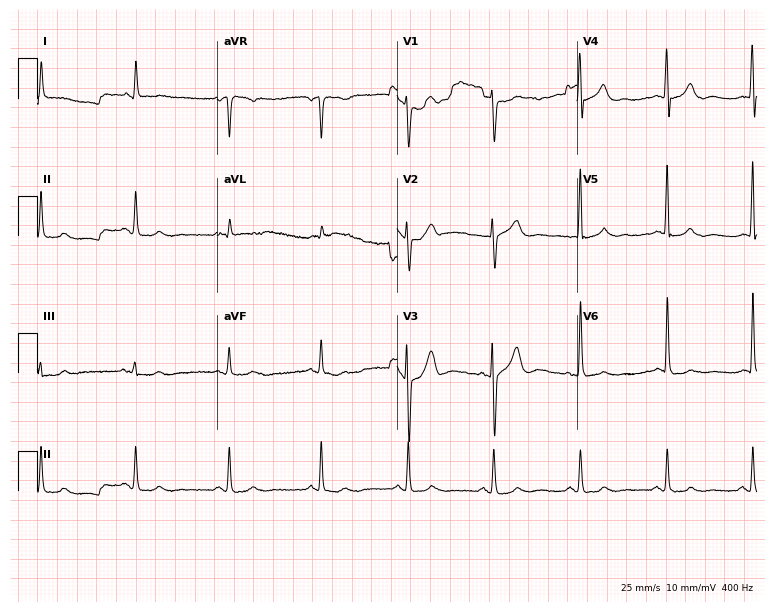
12-lead ECG from a male patient, 77 years old. Recorded interpretation: within normal limits.